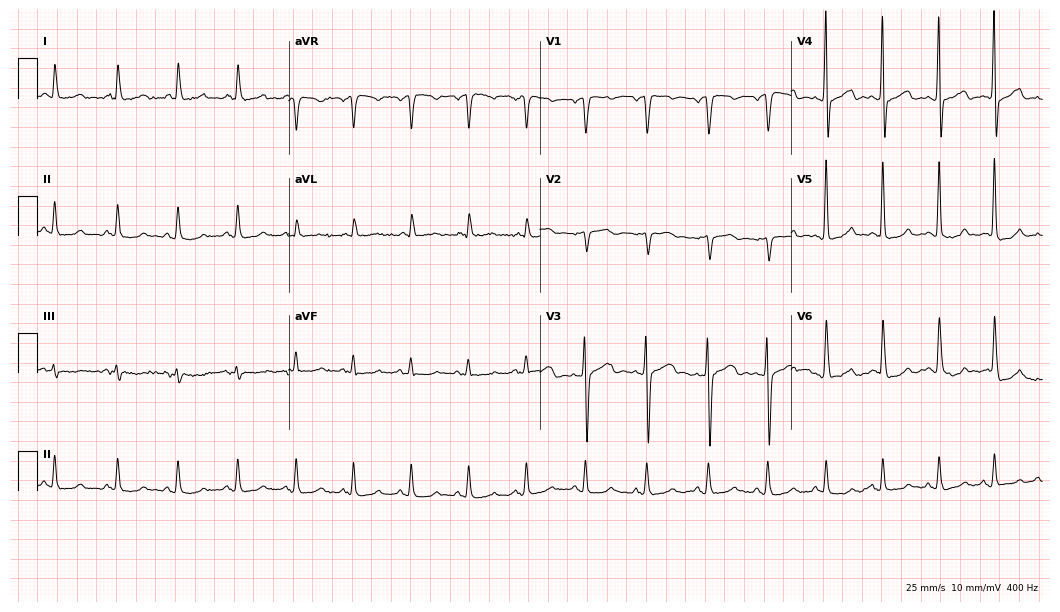
12-lead ECG (10.2-second recording at 400 Hz) from a 46-year-old male patient. Labelled as a normal ECG.